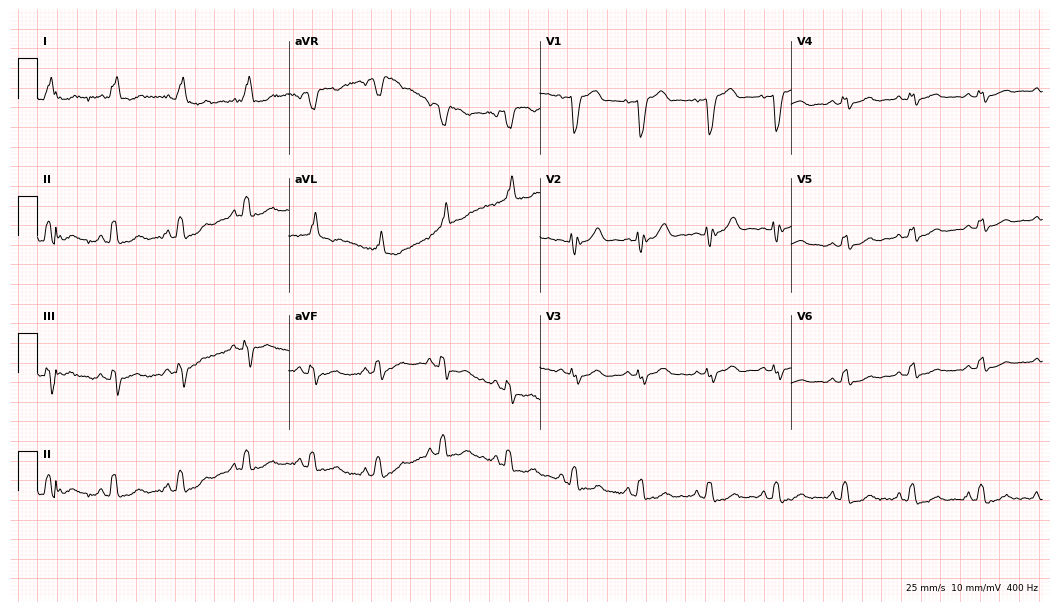
12-lead ECG from a female, 69 years old. Findings include atrial fibrillation.